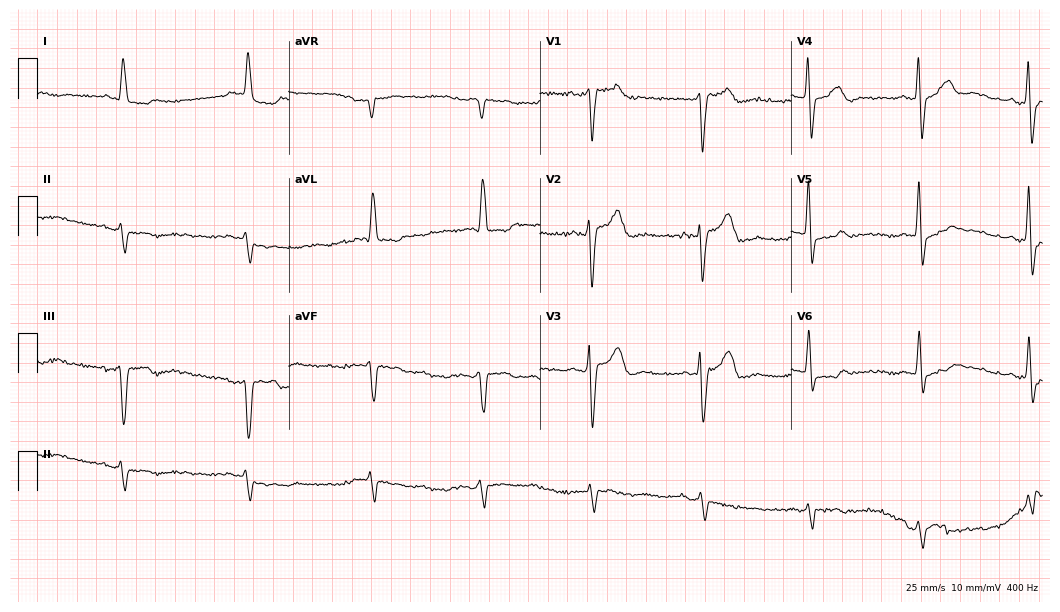
Standard 12-lead ECG recorded from an 83-year-old man. None of these six findings is recorded: first-degree AV block, right bundle branch block (RBBB), left bundle branch block (LBBB), sinus bradycardia, atrial fibrillation (AF), sinus tachycardia. Only these six findings were labelled.